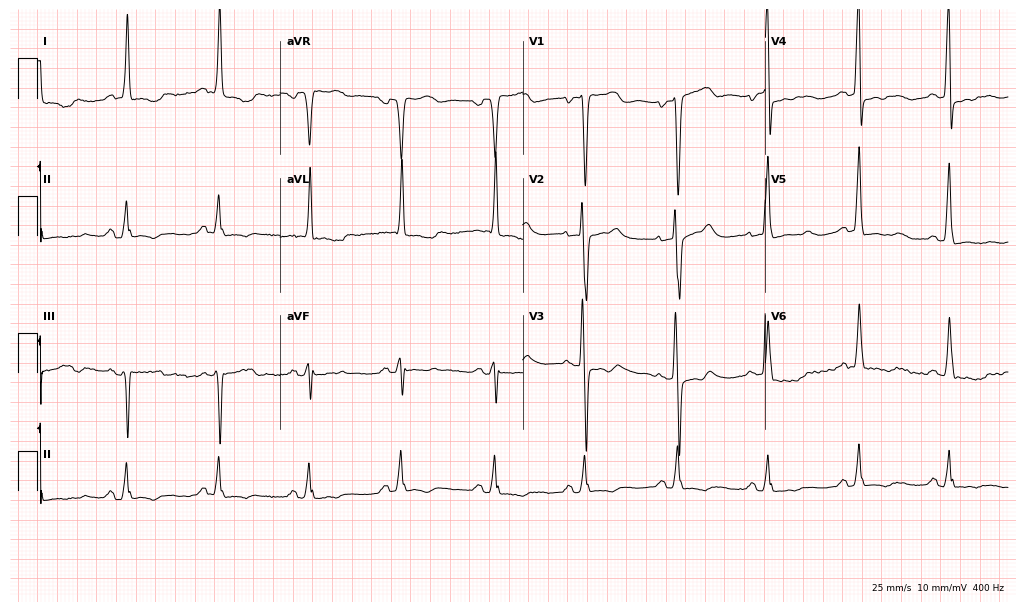
12-lead ECG from a 46-year-old male patient (9.9-second recording at 400 Hz). No first-degree AV block, right bundle branch block, left bundle branch block, sinus bradycardia, atrial fibrillation or sinus tachycardia recorded for this tracing. Only these six findings were labelled.